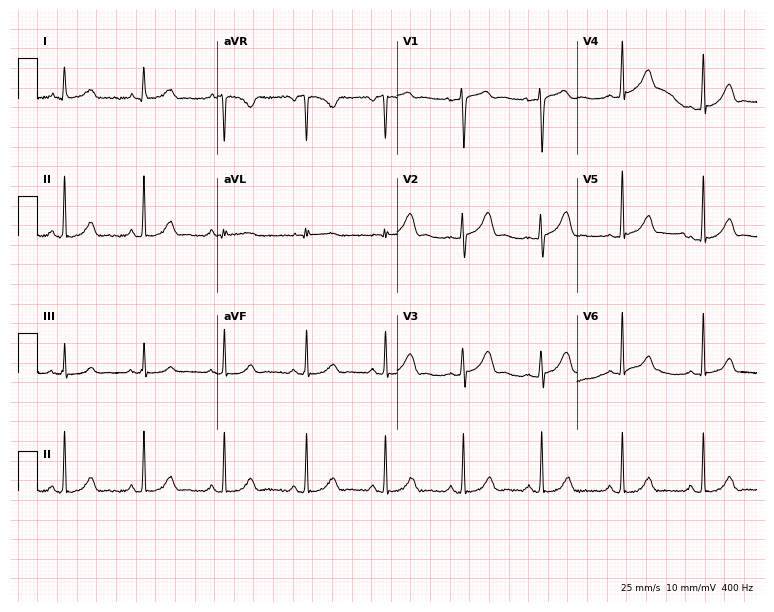
Resting 12-lead electrocardiogram. Patient: a female, 30 years old. Read as a normal ECG.